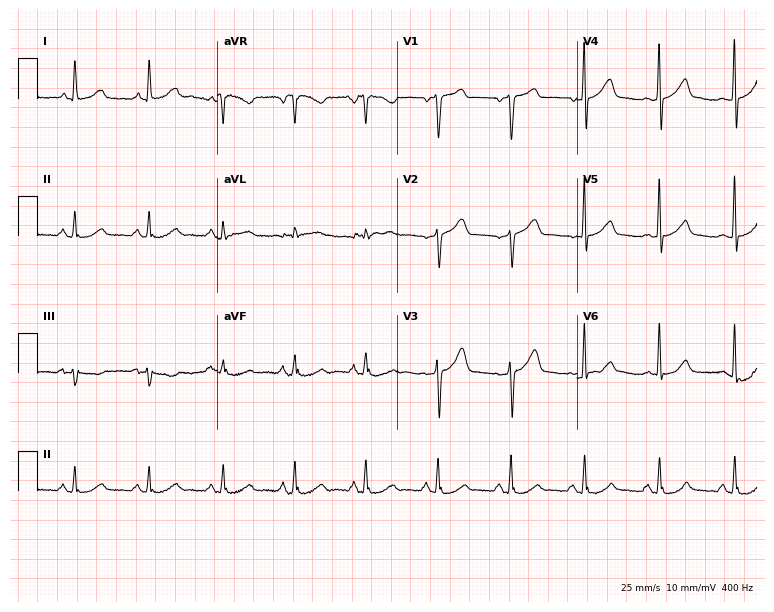
ECG (7.3-second recording at 400 Hz) — a man, 59 years old. Labelled as a normal ECG.